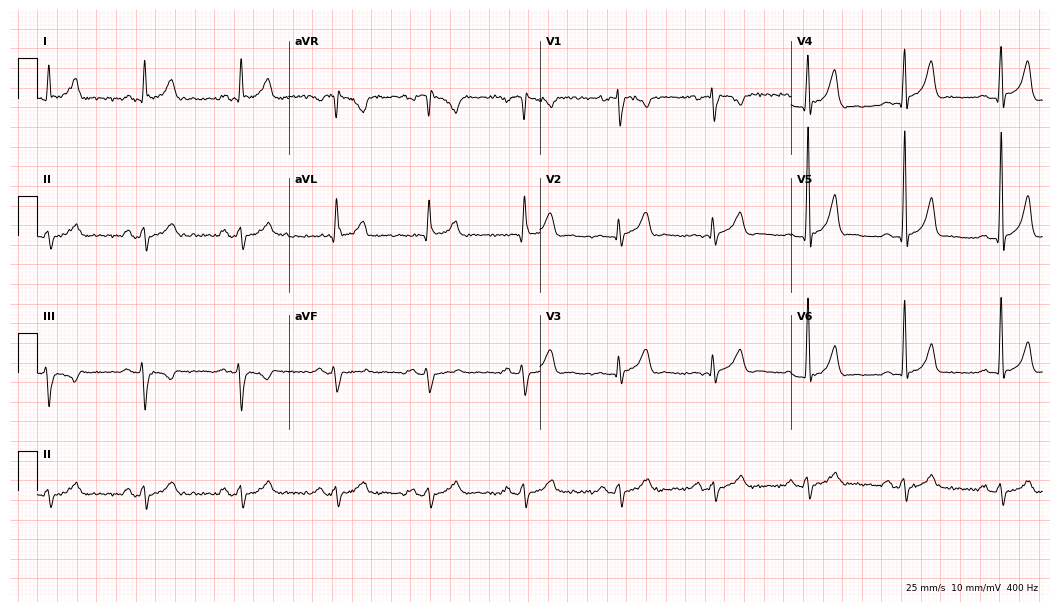
12-lead ECG from a male, 44 years old (10.2-second recording at 400 Hz). Recorded interpretation: within normal limits.